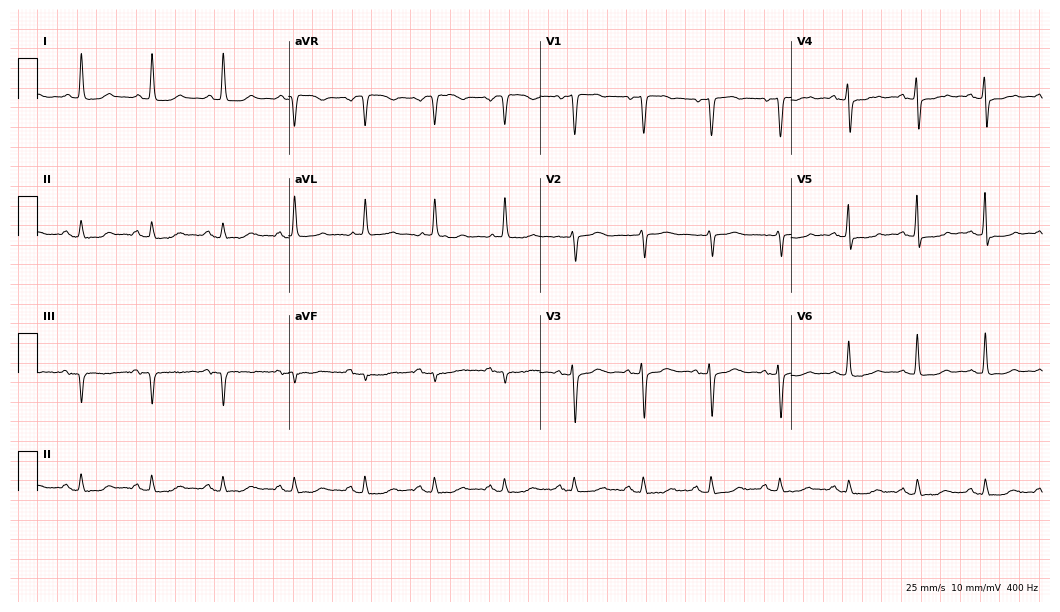
Electrocardiogram, a 64-year-old woman. Of the six screened findings (first-degree AV block, right bundle branch block (RBBB), left bundle branch block (LBBB), sinus bradycardia, atrial fibrillation (AF), sinus tachycardia), none is recorded.